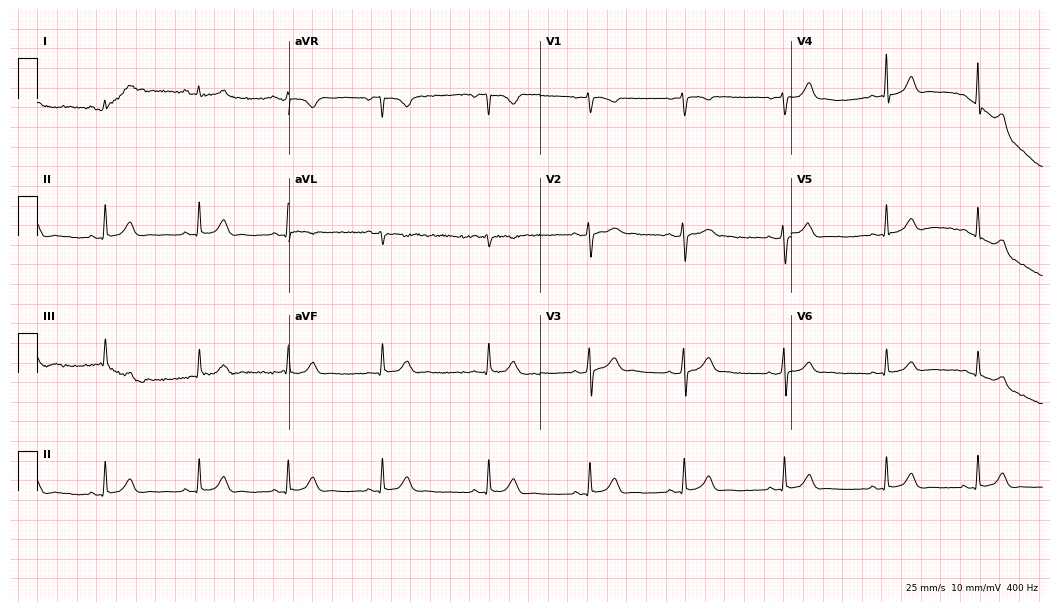
Electrocardiogram, a 19-year-old woman. Overall reading on record: normal ECG.